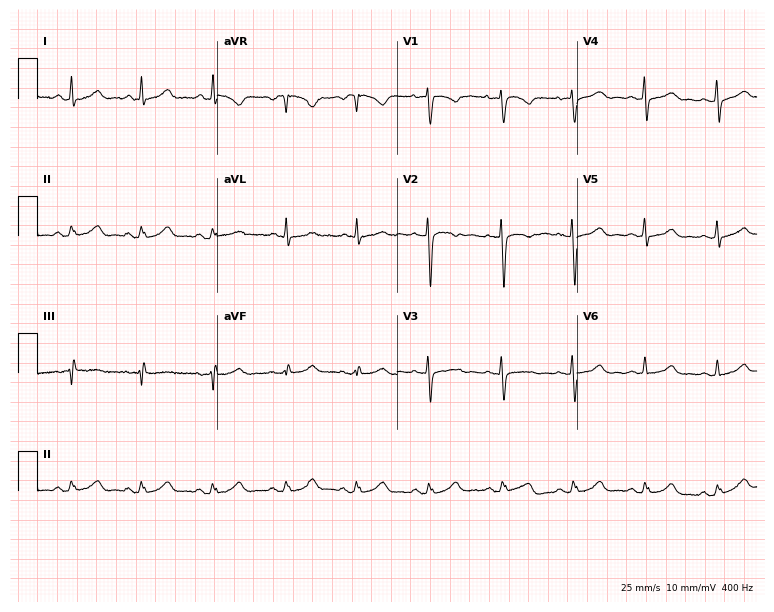
Resting 12-lead electrocardiogram (7.3-second recording at 400 Hz). Patient: a female, 31 years old. Read as a normal ECG.